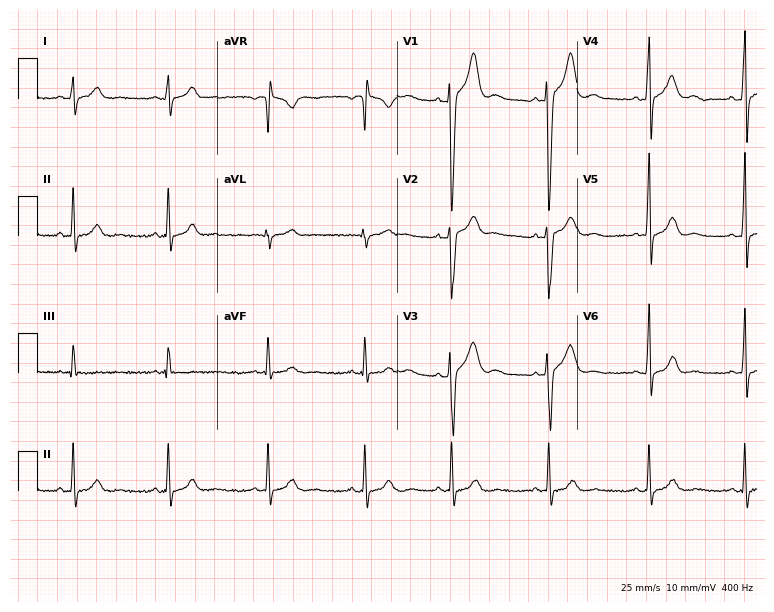
Resting 12-lead electrocardiogram (7.3-second recording at 400 Hz). Patient: a 26-year-old male. None of these six findings is recorded: first-degree AV block, right bundle branch block, left bundle branch block, sinus bradycardia, atrial fibrillation, sinus tachycardia. Findings outside these six are not listed.